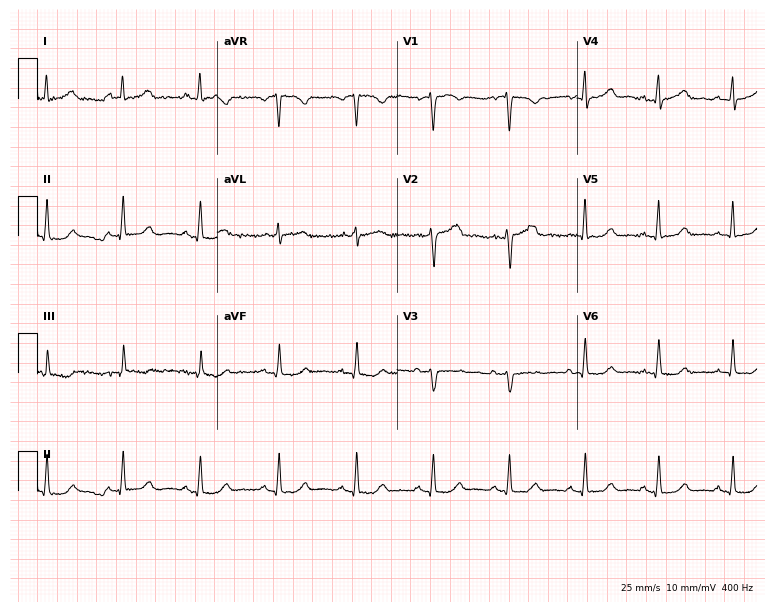
Standard 12-lead ECG recorded from a 44-year-old woman. None of these six findings is recorded: first-degree AV block, right bundle branch block (RBBB), left bundle branch block (LBBB), sinus bradycardia, atrial fibrillation (AF), sinus tachycardia. Other findings, if any, are not listed.